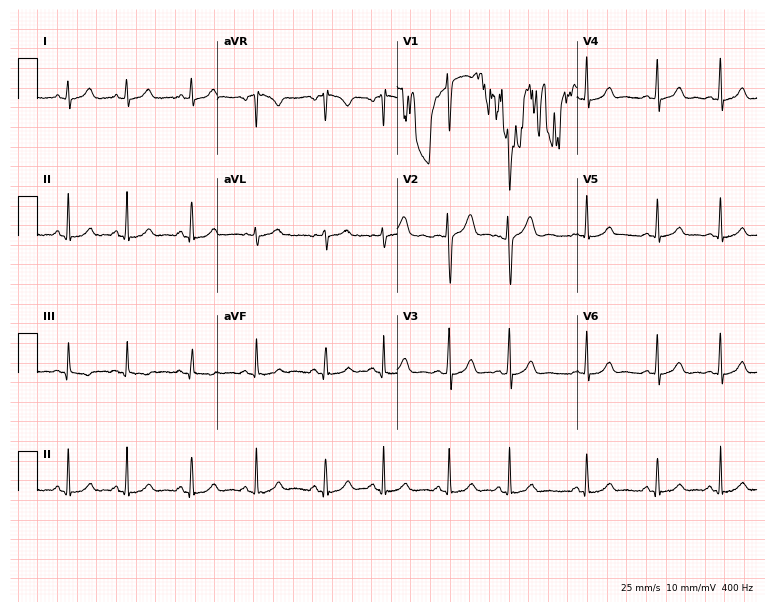
Resting 12-lead electrocardiogram. Patient: a woman, 20 years old. None of these six findings is recorded: first-degree AV block, right bundle branch block, left bundle branch block, sinus bradycardia, atrial fibrillation, sinus tachycardia.